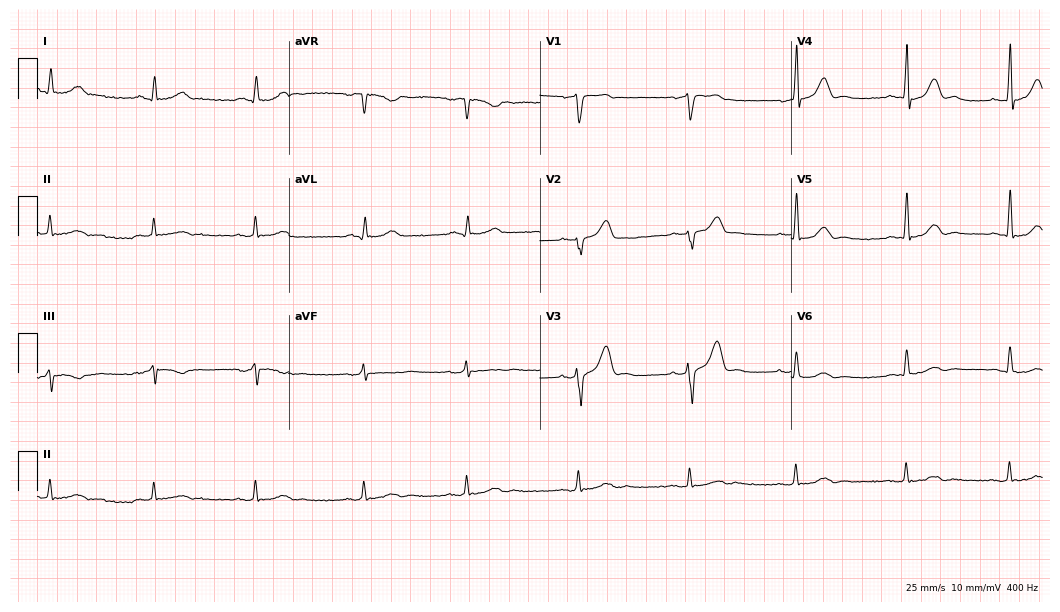
12-lead ECG from a male patient, 67 years old. Recorded interpretation: within normal limits.